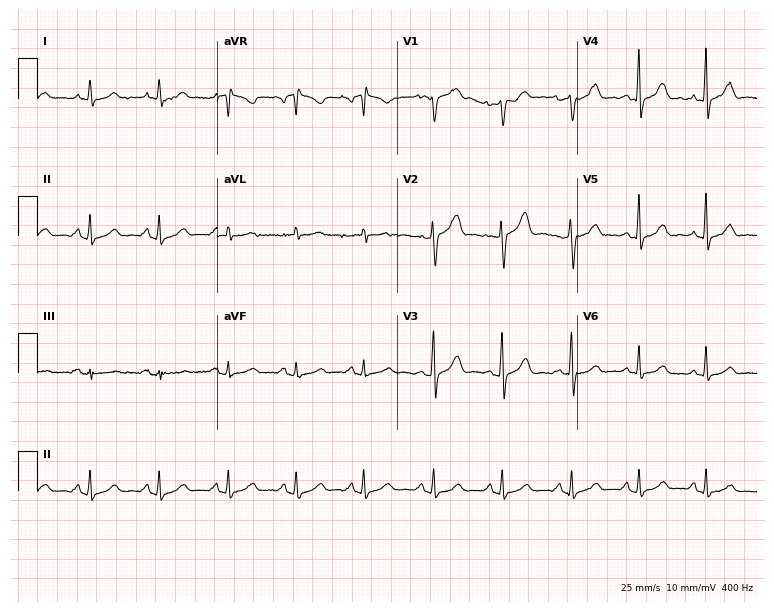
12-lead ECG from a female, 56 years old (7.3-second recording at 400 Hz). Recorded interpretation: within normal limits.